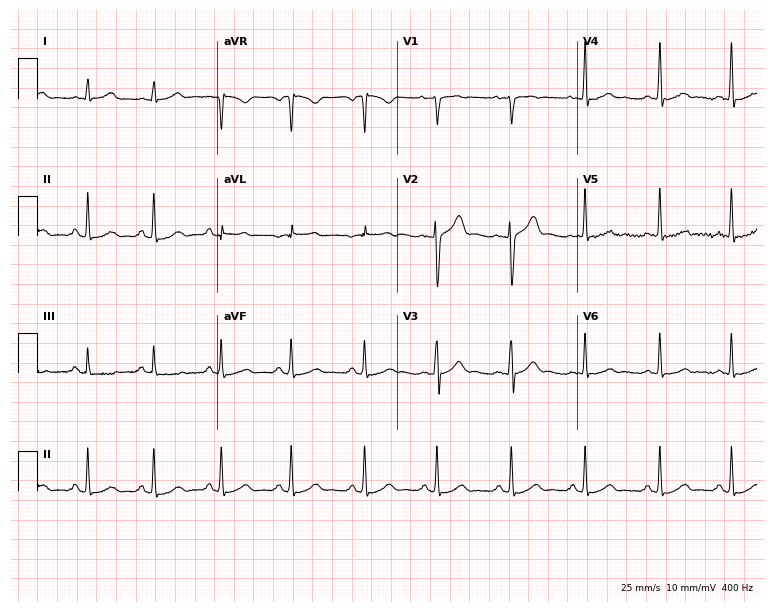
Electrocardiogram (7.3-second recording at 400 Hz), a male patient, 24 years old. Overall reading on record: normal ECG.